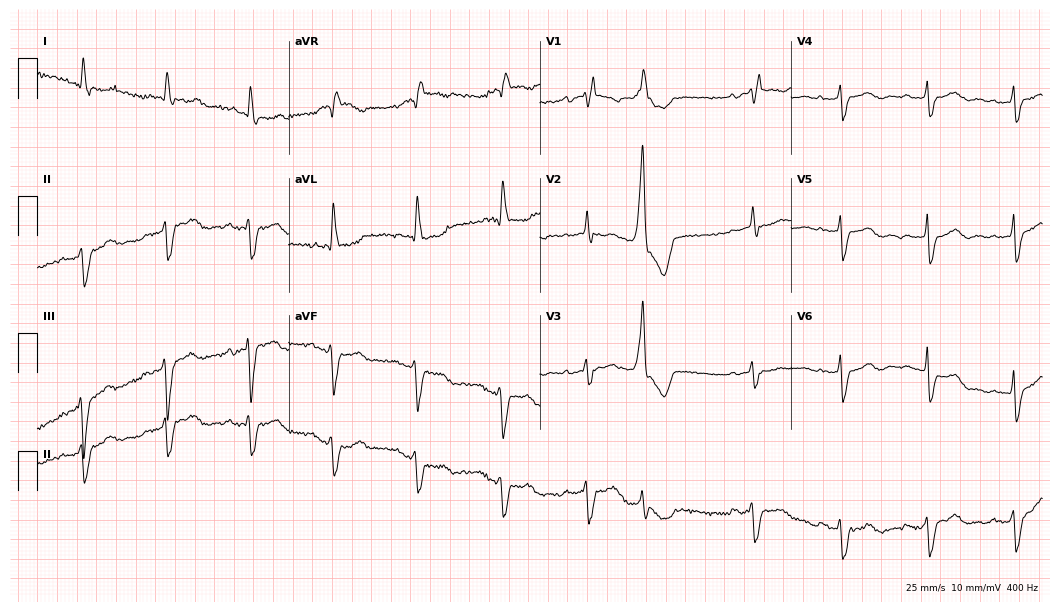
12-lead ECG from a 66-year-old female. Findings include right bundle branch block.